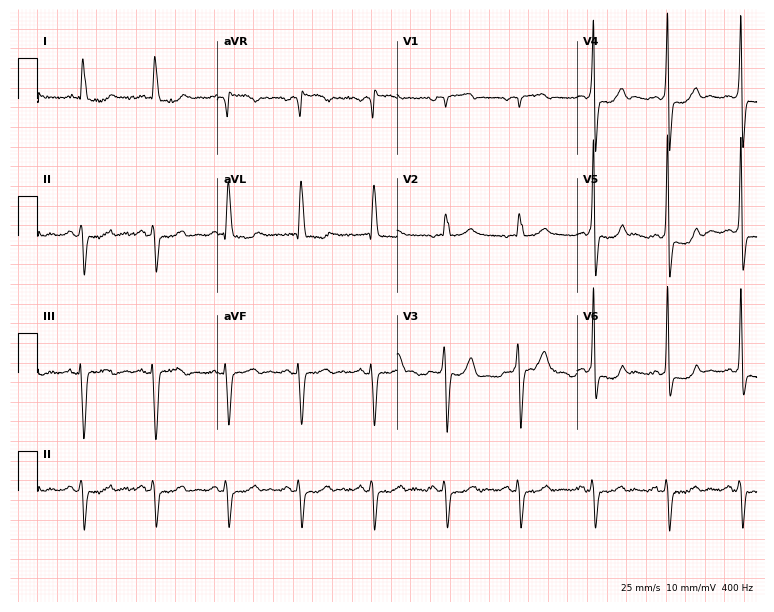
12-lead ECG from a 73-year-old male patient. Screened for six findings — first-degree AV block, right bundle branch block, left bundle branch block, sinus bradycardia, atrial fibrillation, sinus tachycardia — none is recorded.